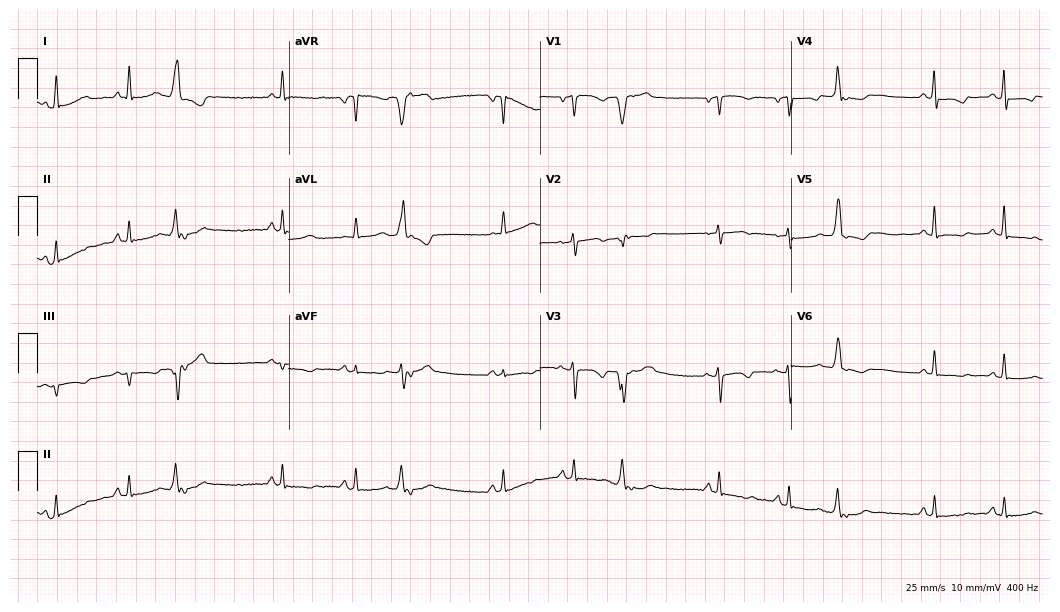
12-lead ECG (10.2-second recording at 400 Hz) from a 55-year-old female. Screened for six findings — first-degree AV block, right bundle branch block, left bundle branch block, sinus bradycardia, atrial fibrillation, sinus tachycardia — none is recorded.